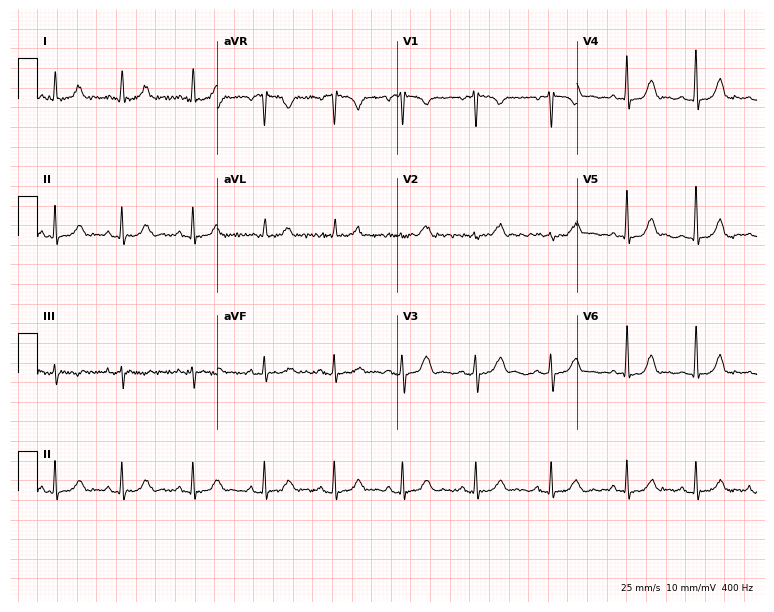
Standard 12-lead ECG recorded from a 37-year-old female patient. None of these six findings is recorded: first-degree AV block, right bundle branch block (RBBB), left bundle branch block (LBBB), sinus bradycardia, atrial fibrillation (AF), sinus tachycardia.